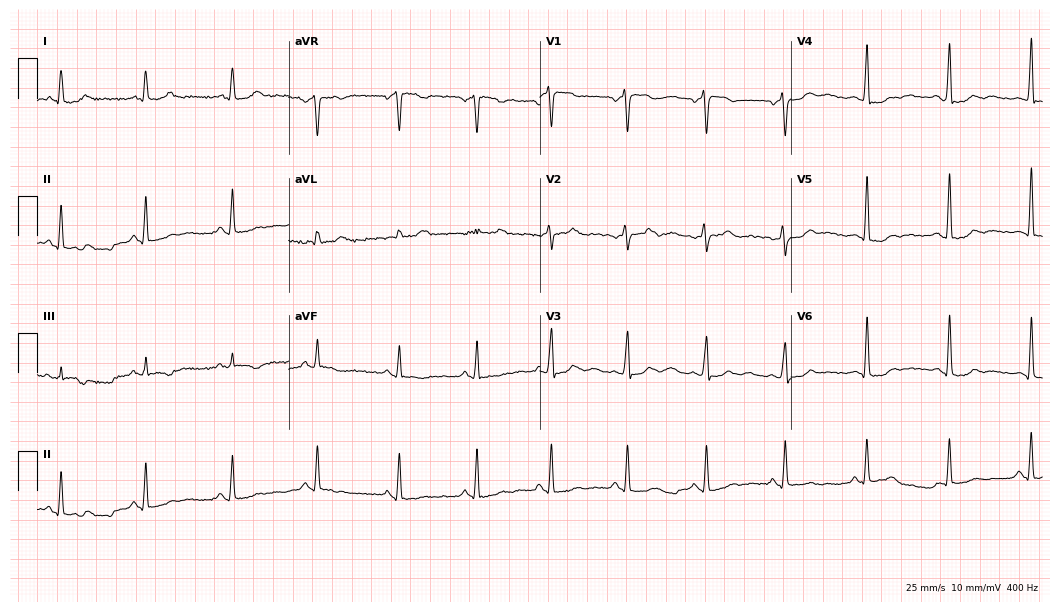
Electrocardiogram, a 42-year-old female patient. Of the six screened findings (first-degree AV block, right bundle branch block, left bundle branch block, sinus bradycardia, atrial fibrillation, sinus tachycardia), none is recorded.